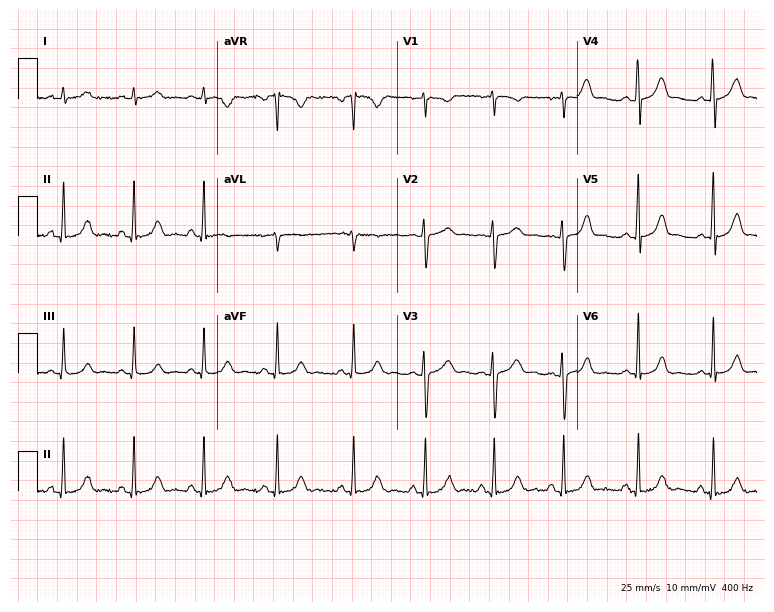
Standard 12-lead ECG recorded from a 29-year-old woman (7.3-second recording at 400 Hz). Read as a normal ECG.